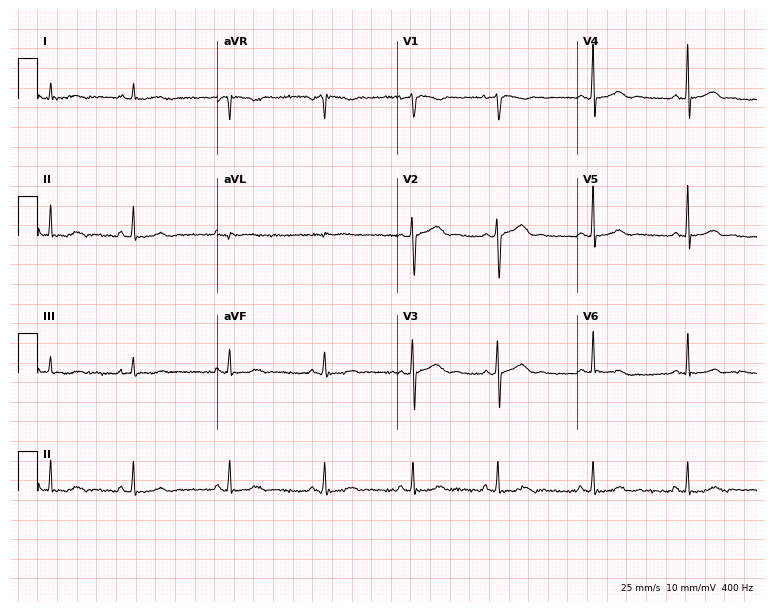
12-lead ECG (7.3-second recording at 400 Hz) from a 22-year-old woman. Screened for six findings — first-degree AV block, right bundle branch block, left bundle branch block, sinus bradycardia, atrial fibrillation, sinus tachycardia — none is recorded. Only these six findings were labelled.